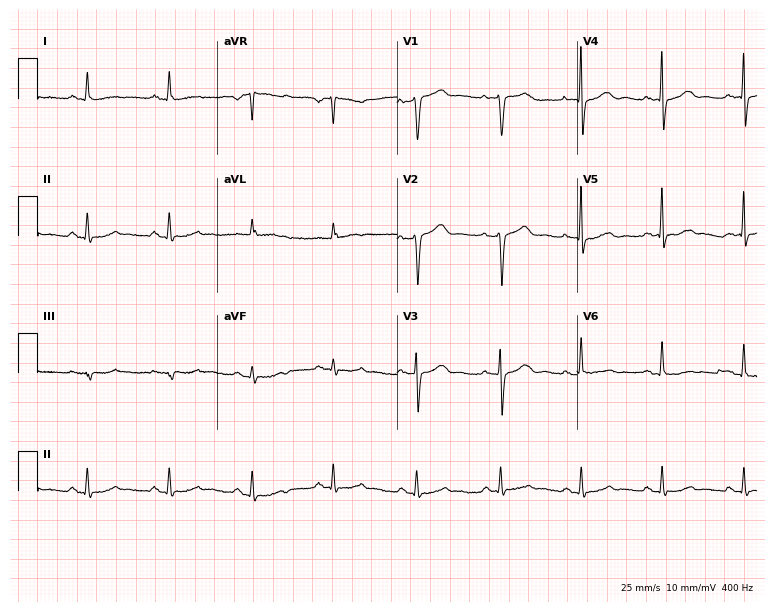
12-lead ECG from a female, 75 years old (7.3-second recording at 400 Hz). Recorded interpretation: within normal limits.